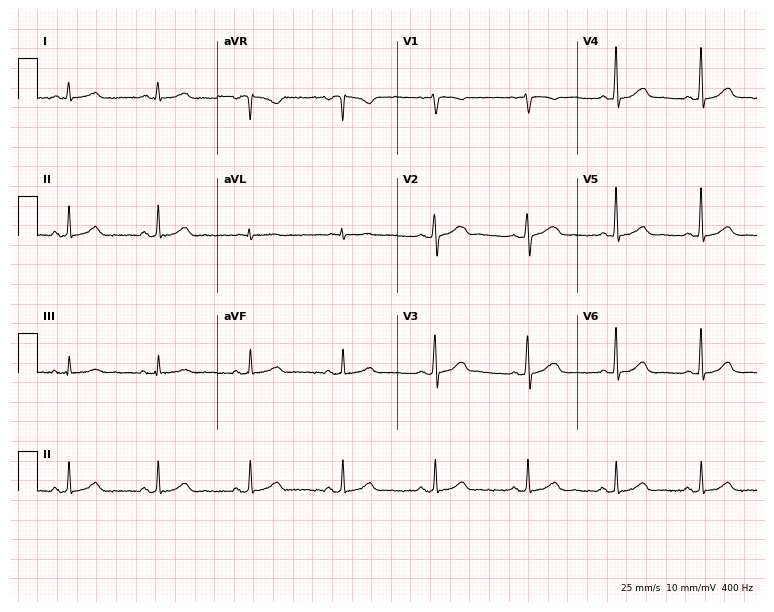
Standard 12-lead ECG recorded from a female patient, 41 years old. Read as a normal ECG.